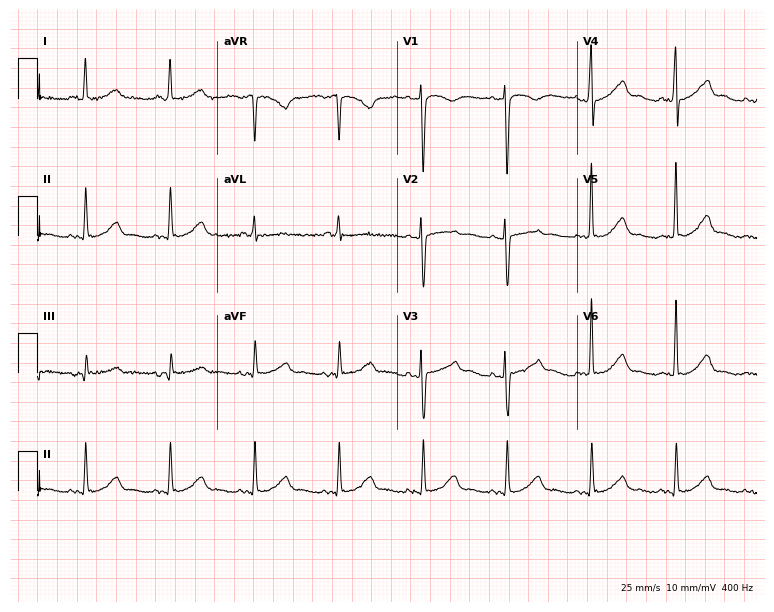
Resting 12-lead electrocardiogram (7.3-second recording at 400 Hz). Patient: a 67-year-old female. Read as a normal ECG.